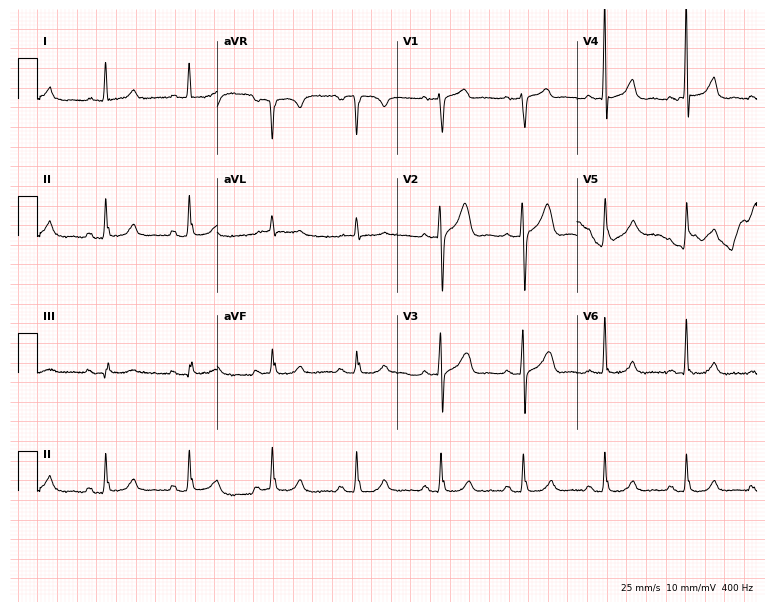
Electrocardiogram (7.3-second recording at 400 Hz), a man, 76 years old. Of the six screened findings (first-degree AV block, right bundle branch block, left bundle branch block, sinus bradycardia, atrial fibrillation, sinus tachycardia), none is recorded. Findings outside these six are not listed.